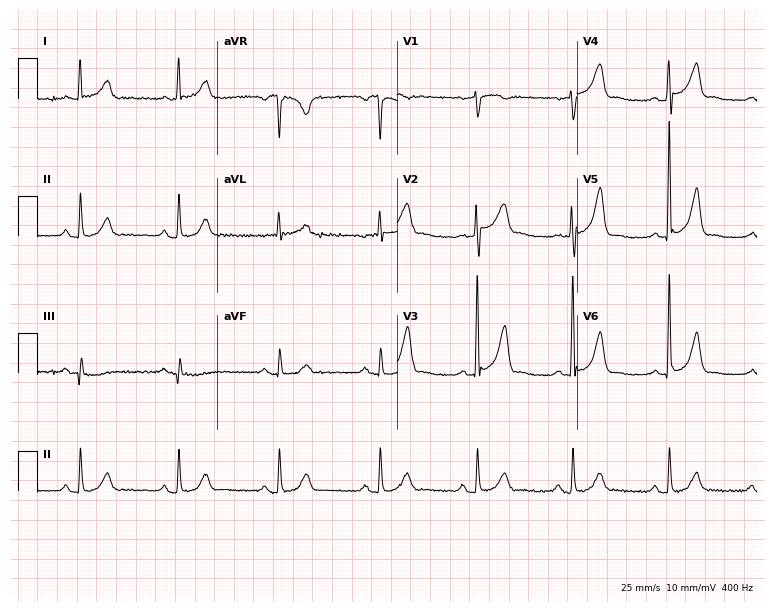
Electrocardiogram (7.3-second recording at 400 Hz), a woman, 76 years old. Of the six screened findings (first-degree AV block, right bundle branch block, left bundle branch block, sinus bradycardia, atrial fibrillation, sinus tachycardia), none is recorded.